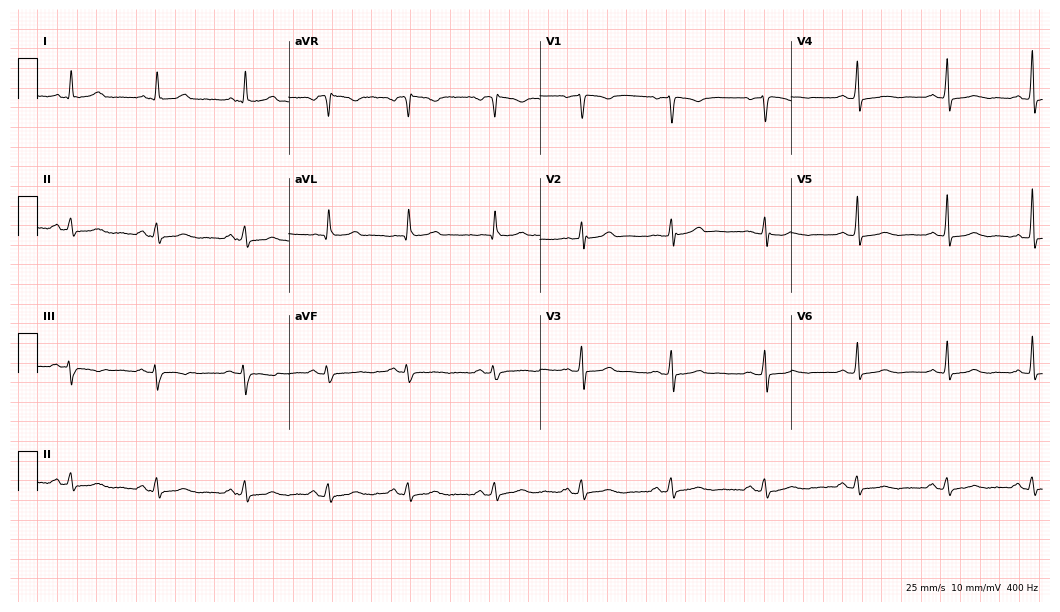
Standard 12-lead ECG recorded from a female patient, 58 years old. None of these six findings is recorded: first-degree AV block, right bundle branch block (RBBB), left bundle branch block (LBBB), sinus bradycardia, atrial fibrillation (AF), sinus tachycardia. Other findings, if any, are not listed.